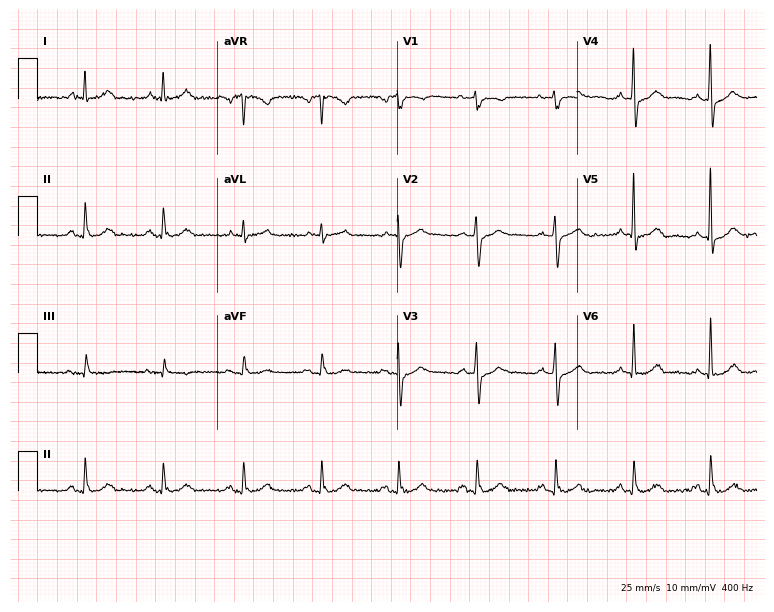
Standard 12-lead ECG recorded from a 72-year-old male (7.3-second recording at 400 Hz). None of these six findings is recorded: first-degree AV block, right bundle branch block, left bundle branch block, sinus bradycardia, atrial fibrillation, sinus tachycardia.